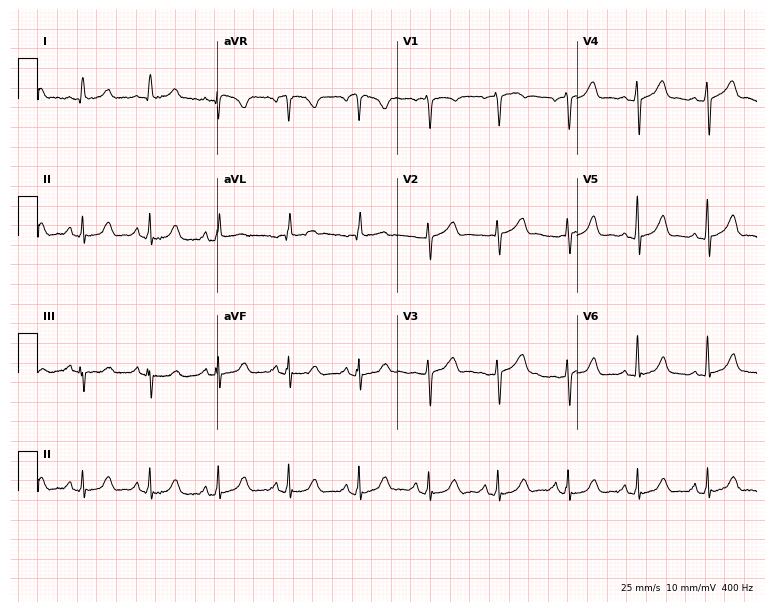
Electrocardiogram (7.3-second recording at 400 Hz), a woman, 57 years old. Of the six screened findings (first-degree AV block, right bundle branch block, left bundle branch block, sinus bradycardia, atrial fibrillation, sinus tachycardia), none is recorded. Findings outside these six are not listed.